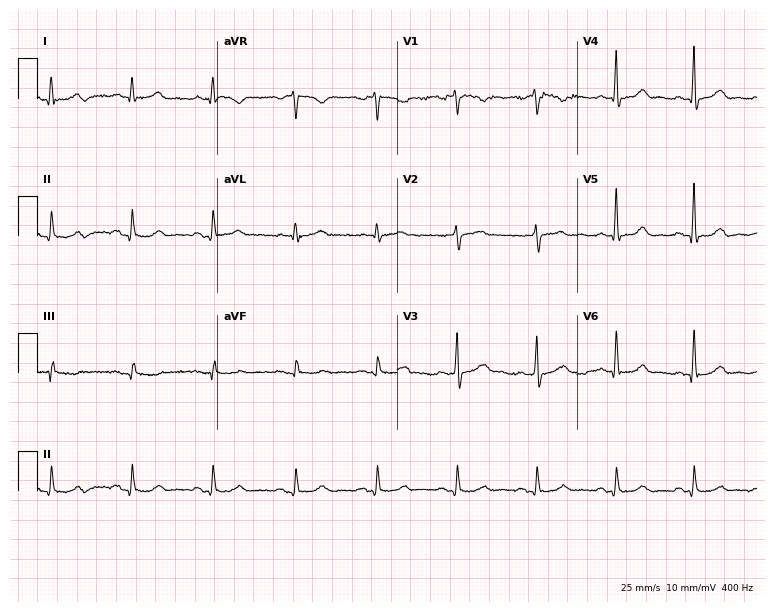
12-lead ECG from a man, 53 years old. Recorded interpretation: within normal limits.